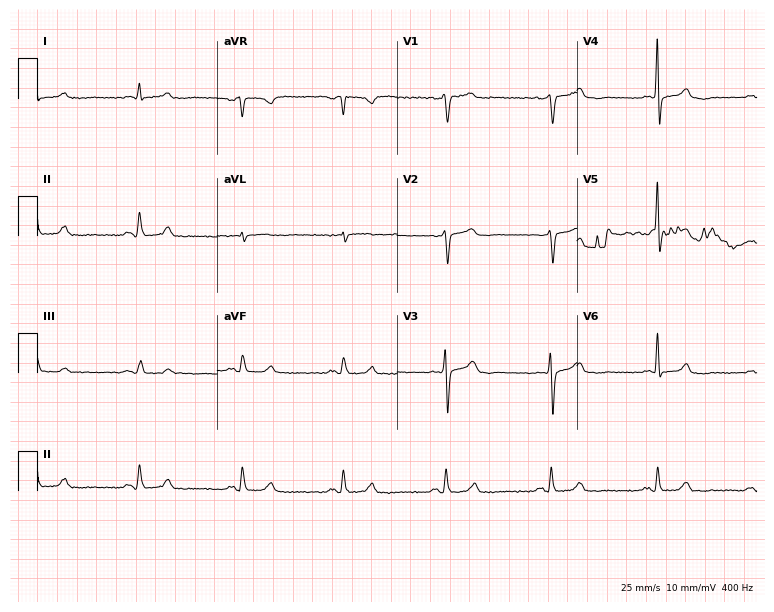
12-lead ECG (7.3-second recording at 400 Hz) from a 63-year-old man. Screened for six findings — first-degree AV block, right bundle branch block, left bundle branch block, sinus bradycardia, atrial fibrillation, sinus tachycardia — none is recorded.